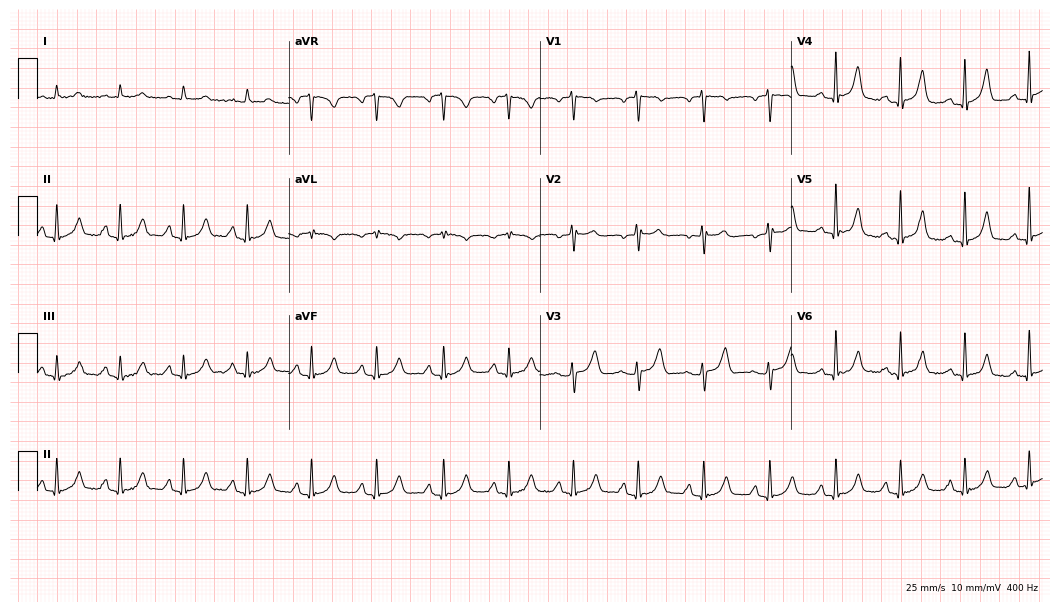
Electrocardiogram (10.2-second recording at 400 Hz), a woman, 39 years old. Overall reading on record: normal ECG.